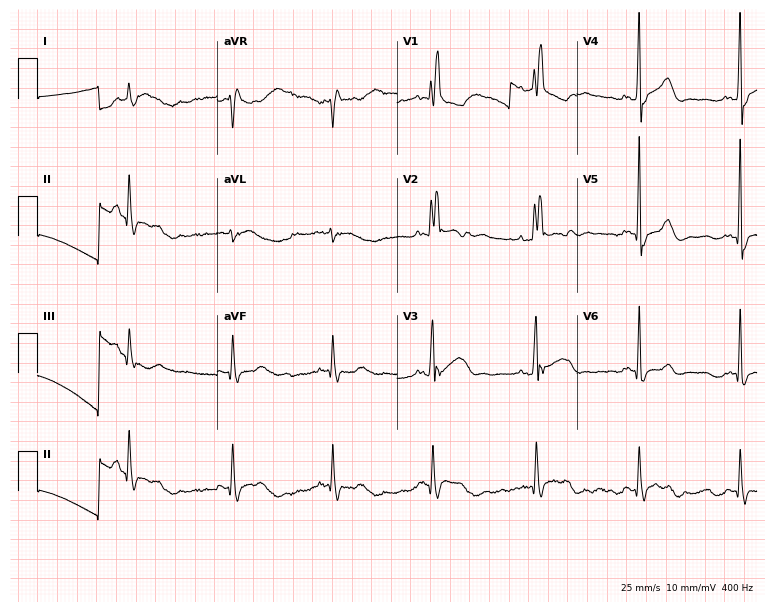
Electrocardiogram, a male, 58 years old. Interpretation includes right bundle branch block (RBBB).